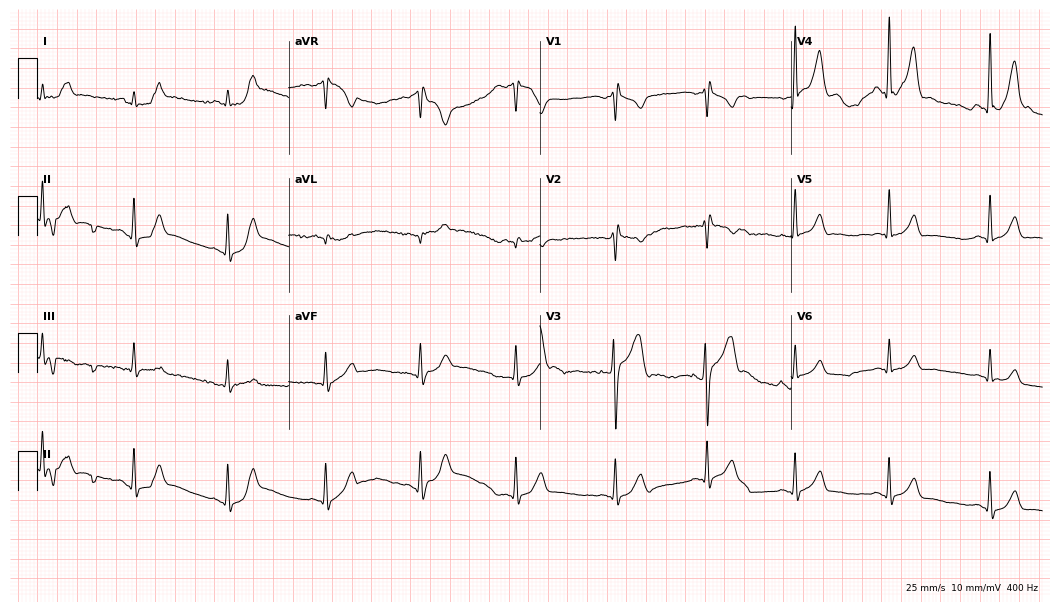
12-lead ECG from a male, 35 years old. No first-degree AV block, right bundle branch block (RBBB), left bundle branch block (LBBB), sinus bradycardia, atrial fibrillation (AF) or sinus tachycardia recorded for this tracing.